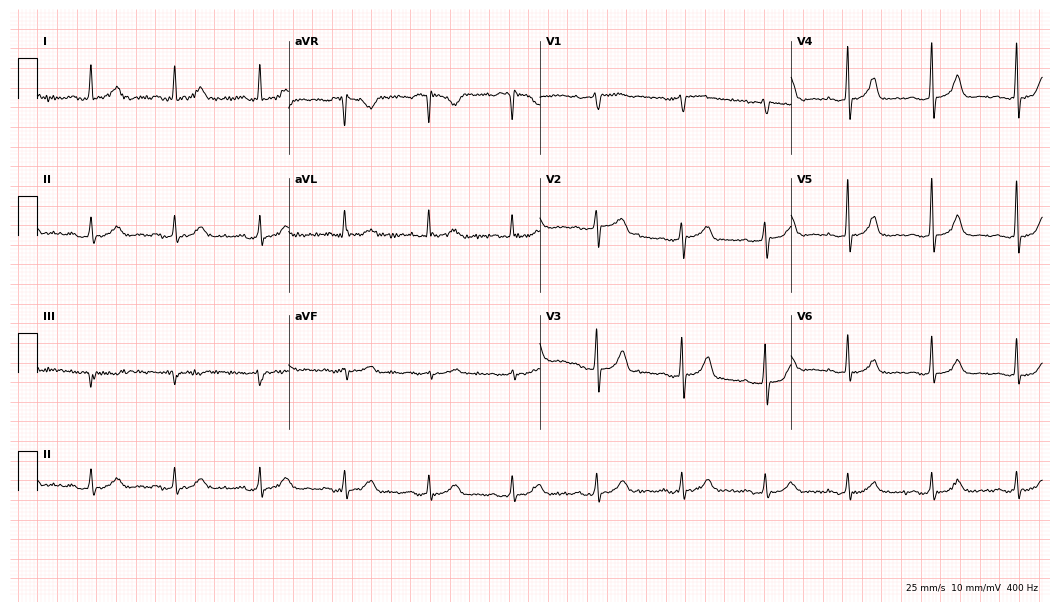
12-lead ECG from a 65-year-old female. No first-degree AV block, right bundle branch block (RBBB), left bundle branch block (LBBB), sinus bradycardia, atrial fibrillation (AF) or sinus tachycardia recorded for this tracing.